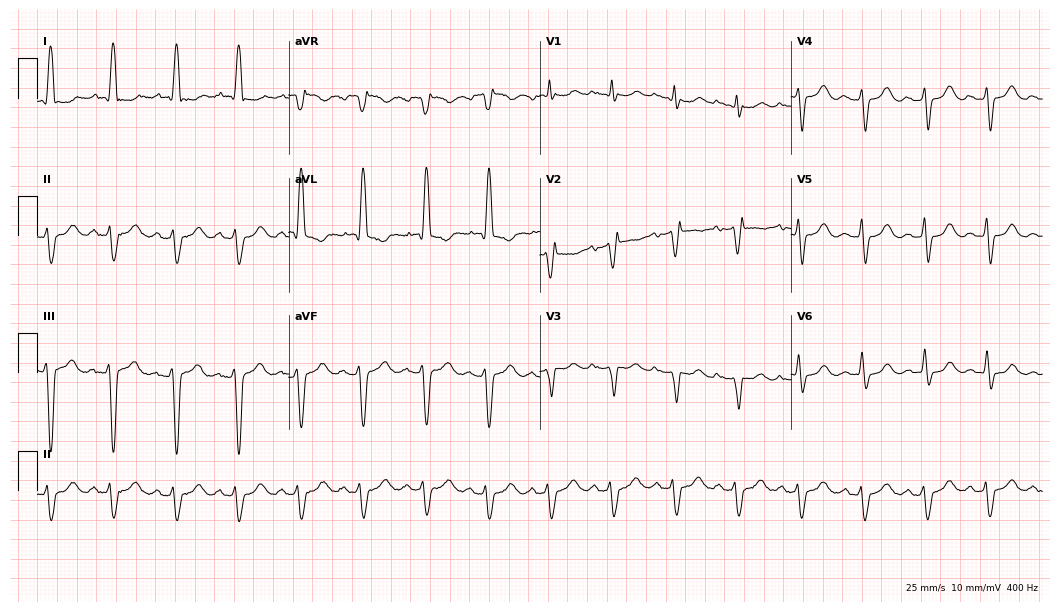
Standard 12-lead ECG recorded from a female patient, 82 years old (10.2-second recording at 400 Hz). The tracing shows left bundle branch block.